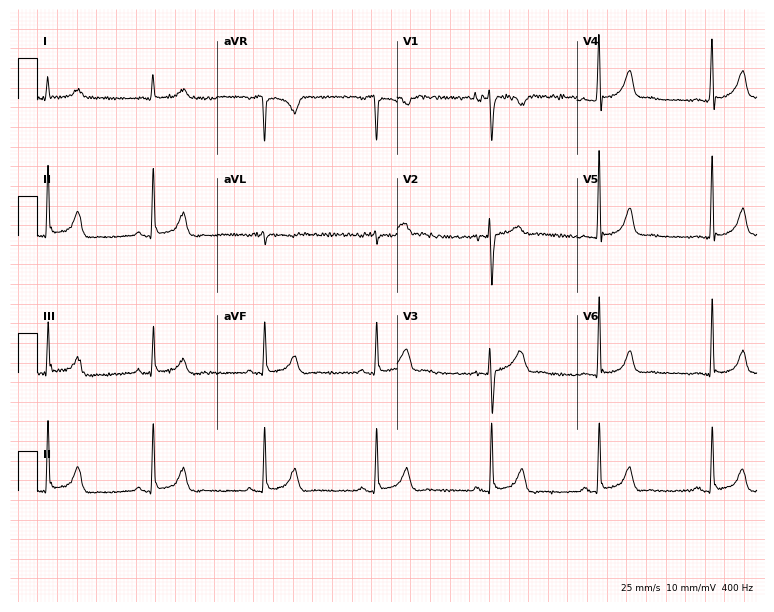
12-lead ECG from a woman, 68 years old. Screened for six findings — first-degree AV block, right bundle branch block, left bundle branch block, sinus bradycardia, atrial fibrillation, sinus tachycardia — none is recorded. Findings outside these six are not listed.